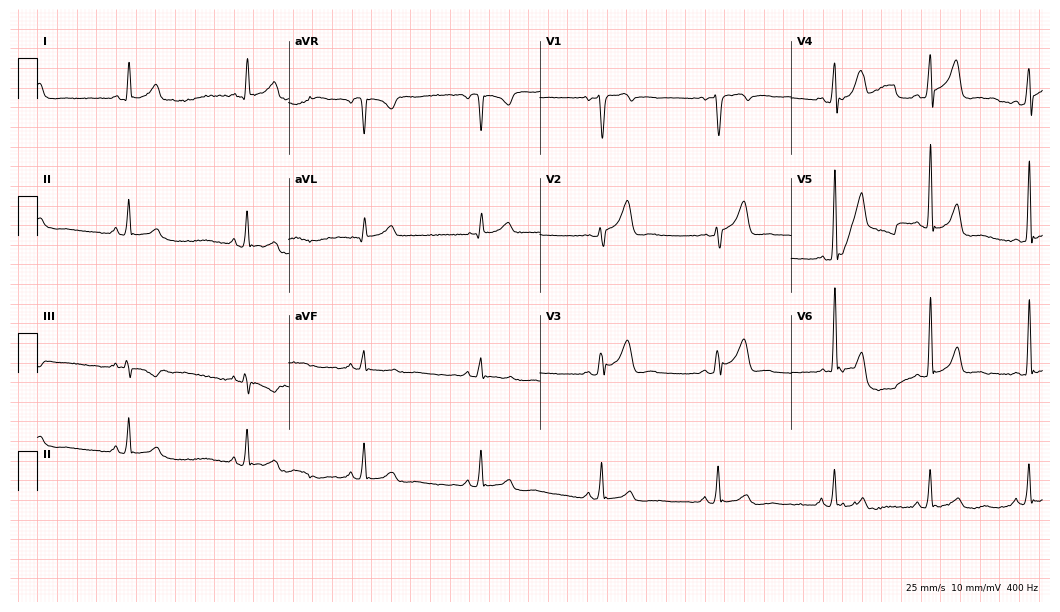
Standard 12-lead ECG recorded from a 38-year-old man. Read as a normal ECG.